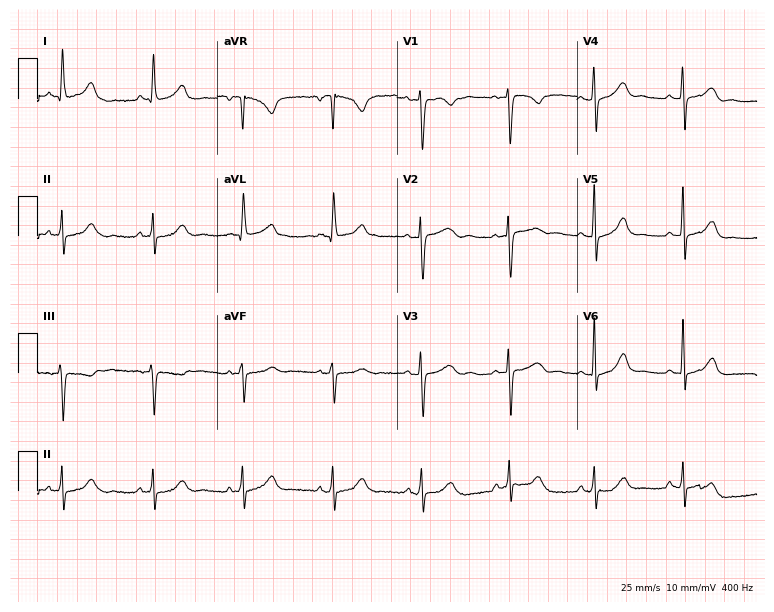
12-lead ECG (7.3-second recording at 400 Hz) from a female, 46 years old. Labelled as a normal ECG.